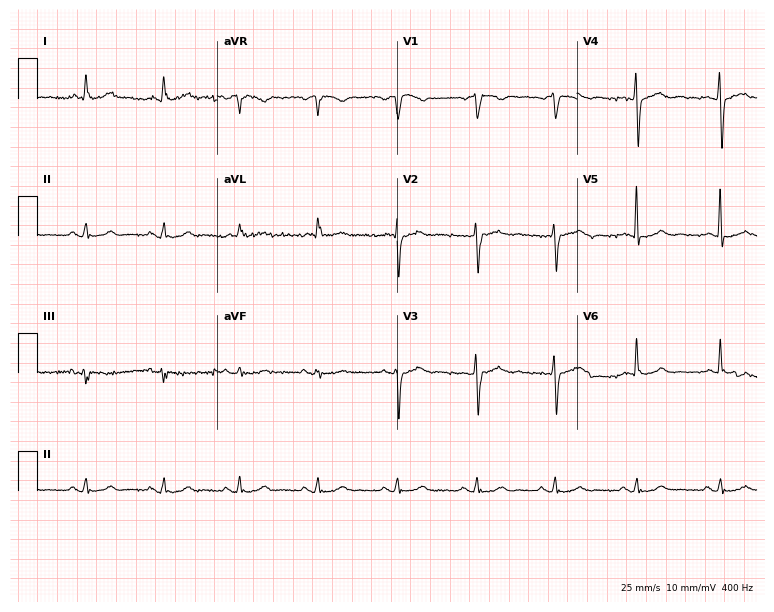
12-lead ECG from a male patient, 70 years old (7.3-second recording at 400 Hz). Recorded interpretation: within normal limits.